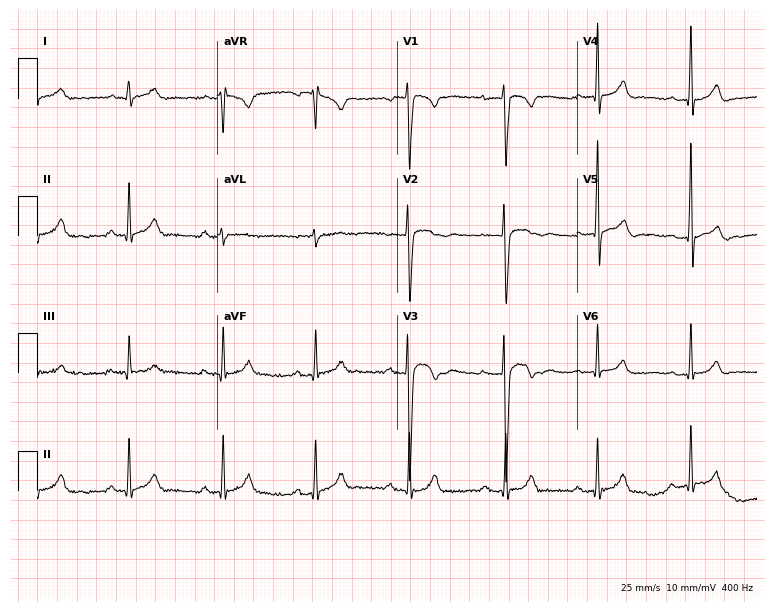
12-lead ECG from a male, 18 years old (7.3-second recording at 400 Hz). No first-degree AV block, right bundle branch block, left bundle branch block, sinus bradycardia, atrial fibrillation or sinus tachycardia recorded for this tracing.